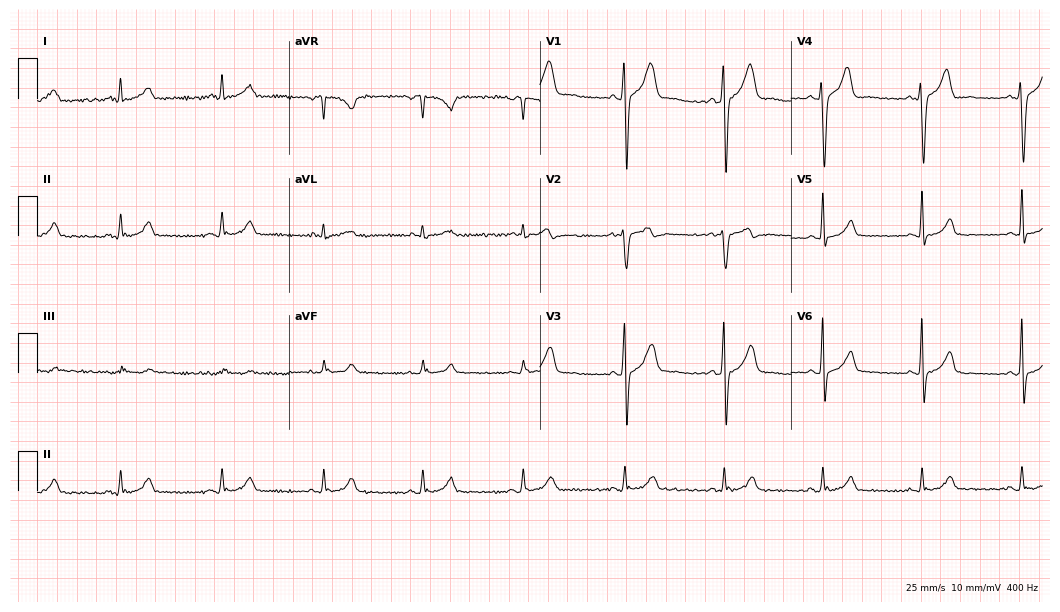
ECG — a 33-year-old male patient. Screened for six findings — first-degree AV block, right bundle branch block, left bundle branch block, sinus bradycardia, atrial fibrillation, sinus tachycardia — none is recorded.